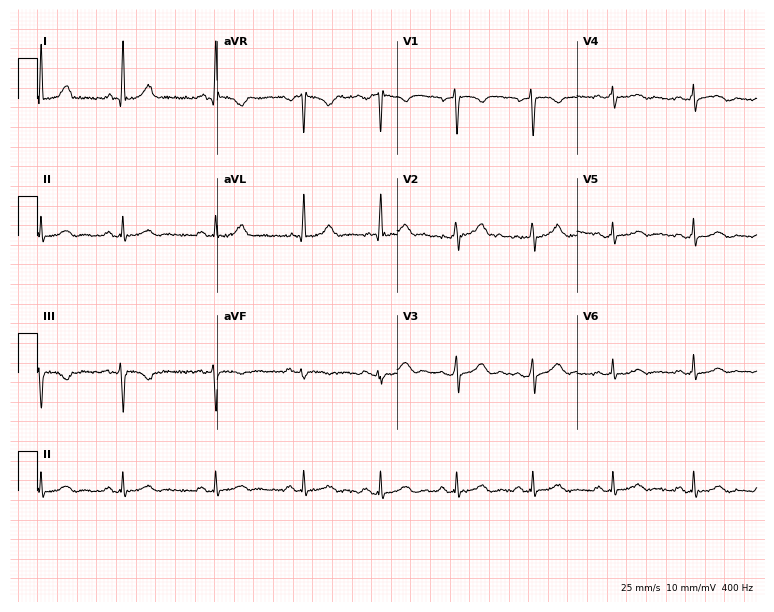
Electrocardiogram, a female, 47 years old. Of the six screened findings (first-degree AV block, right bundle branch block, left bundle branch block, sinus bradycardia, atrial fibrillation, sinus tachycardia), none is recorded. Other findings, if any, are not listed.